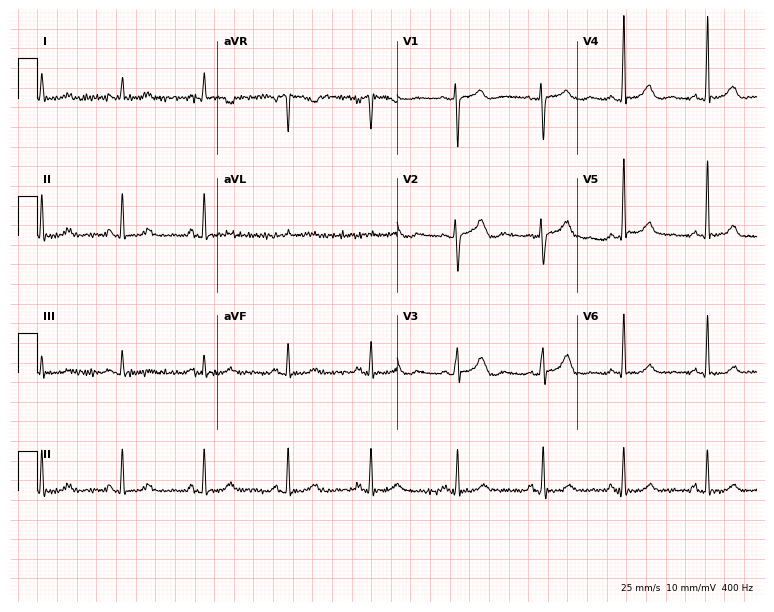
12-lead ECG (7.3-second recording at 400 Hz) from a female, 43 years old. Labelled as a normal ECG.